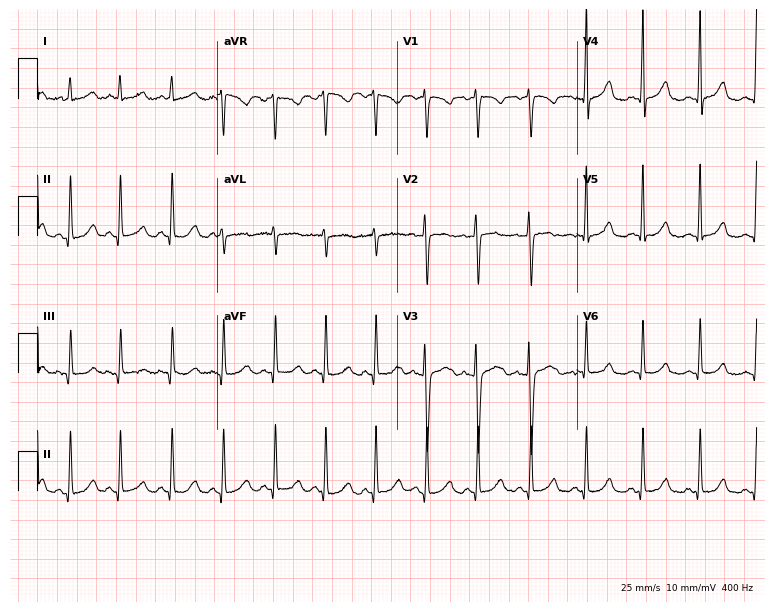
12-lead ECG from a female, 34 years old. Shows sinus tachycardia (a sinus rate of 100 beats per minute or more).